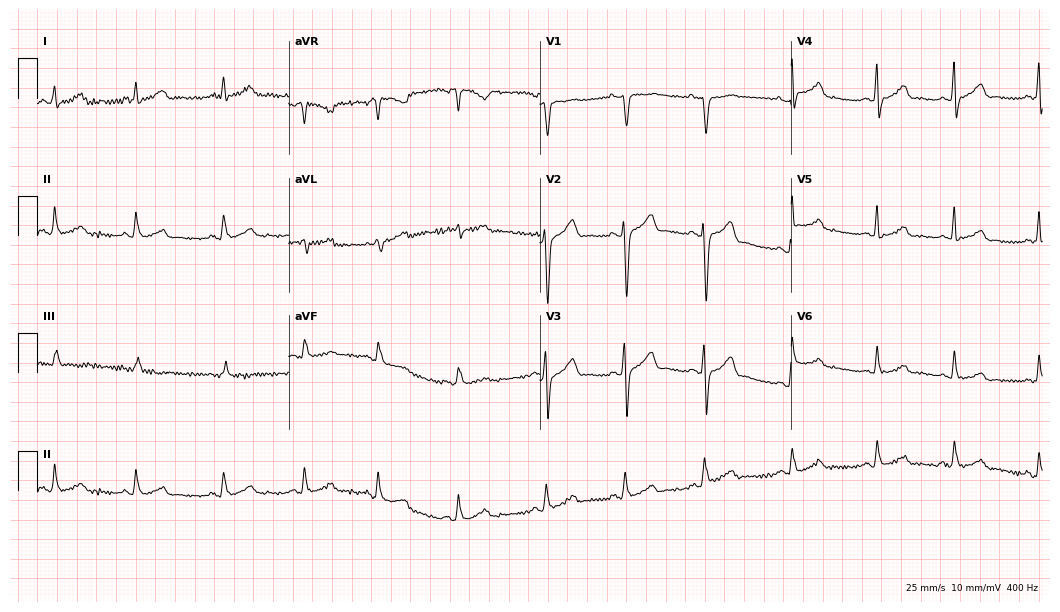
12-lead ECG from a female patient, 41 years old. Recorded interpretation: within normal limits.